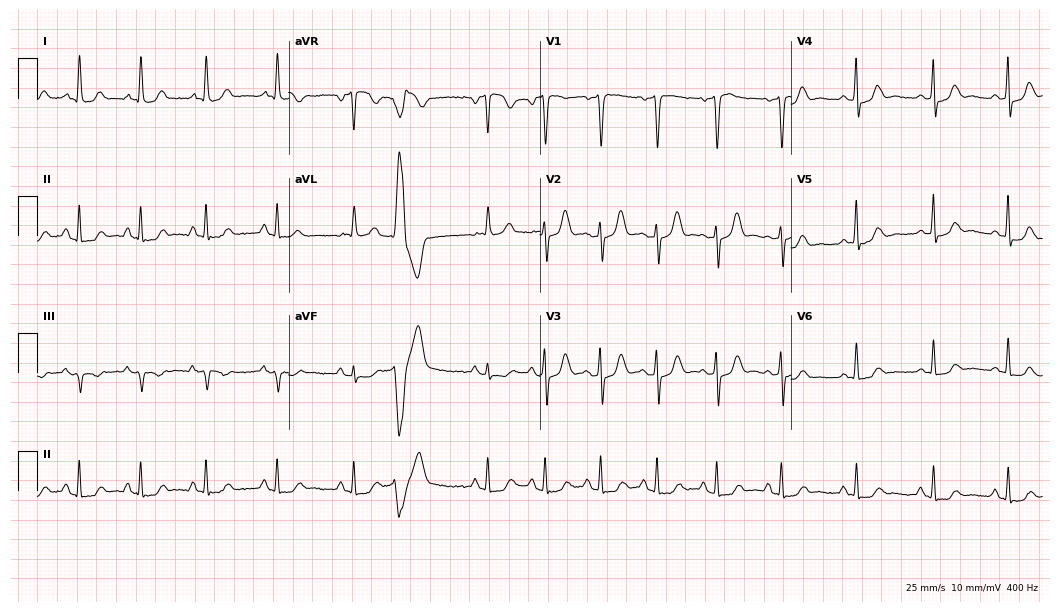
Standard 12-lead ECG recorded from a 55-year-old female. None of these six findings is recorded: first-degree AV block, right bundle branch block (RBBB), left bundle branch block (LBBB), sinus bradycardia, atrial fibrillation (AF), sinus tachycardia. Findings outside these six are not listed.